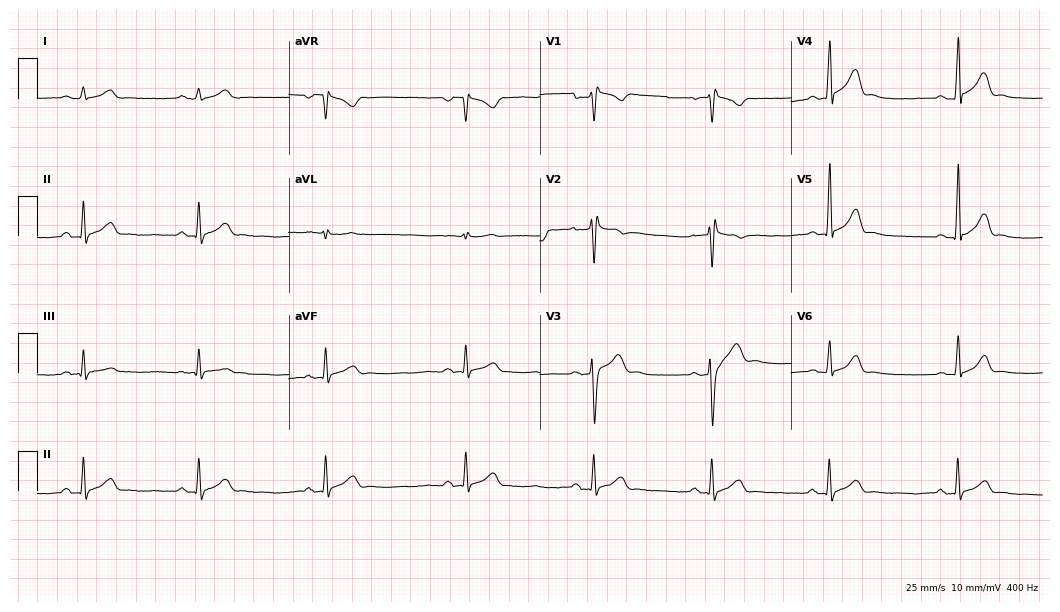
Standard 12-lead ECG recorded from a man, 21 years old. The tracing shows sinus bradycardia (a sinus rate of 50 beats per minute or less).